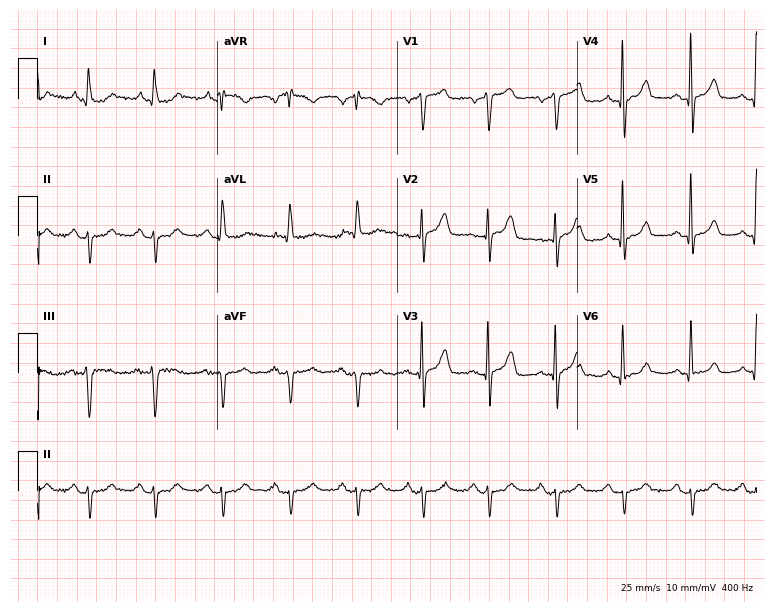
12-lead ECG from a 64-year-old male. No first-degree AV block, right bundle branch block, left bundle branch block, sinus bradycardia, atrial fibrillation or sinus tachycardia recorded for this tracing.